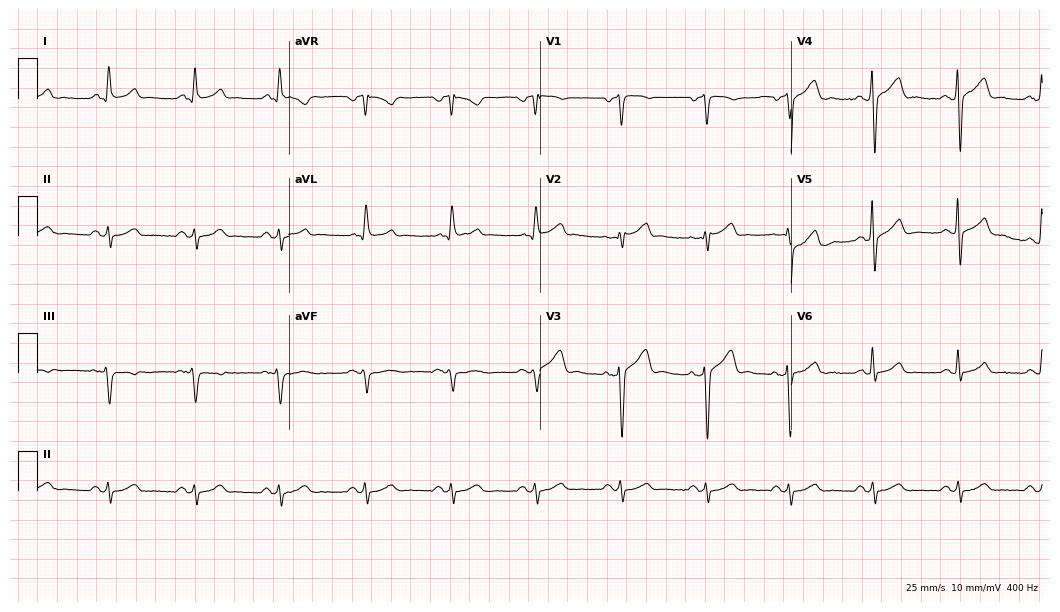
Electrocardiogram, a 55-year-old man. Of the six screened findings (first-degree AV block, right bundle branch block, left bundle branch block, sinus bradycardia, atrial fibrillation, sinus tachycardia), none is recorded. Findings outside these six are not listed.